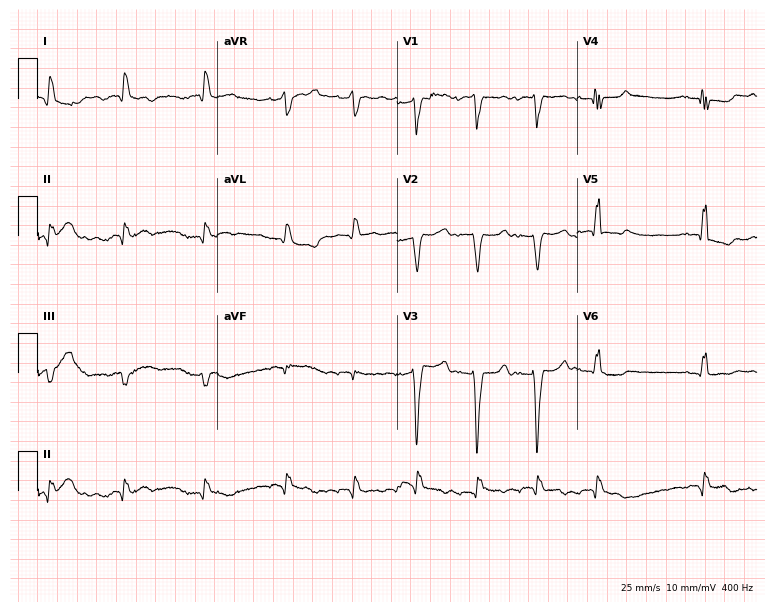
Resting 12-lead electrocardiogram. Patient: a 79-year-old male. The tracing shows atrial fibrillation (AF).